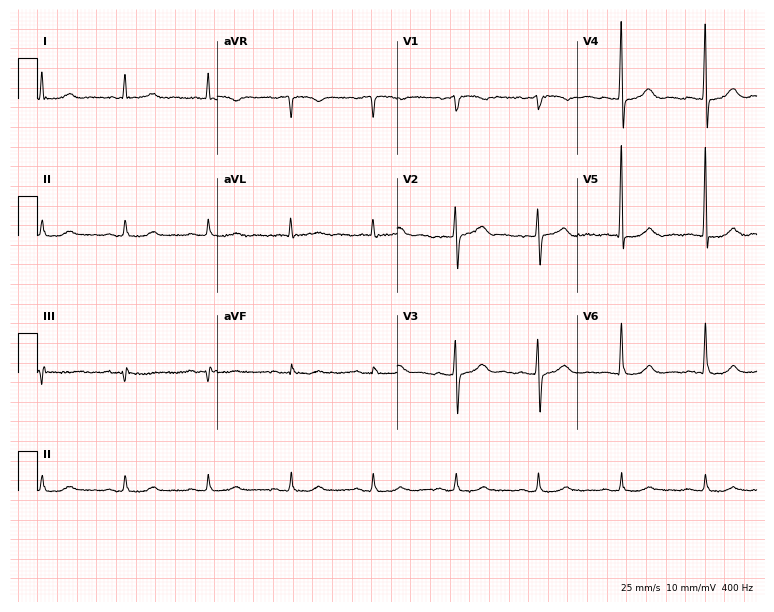
12-lead ECG (7.3-second recording at 400 Hz) from a female patient, 72 years old. Screened for six findings — first-degree AV block, right bundle branch block (RBBB), left bundle branch block (LBBB), sinus bradycardia, atrial fibrillation (AF), sinus tachycardia — none is recorded.